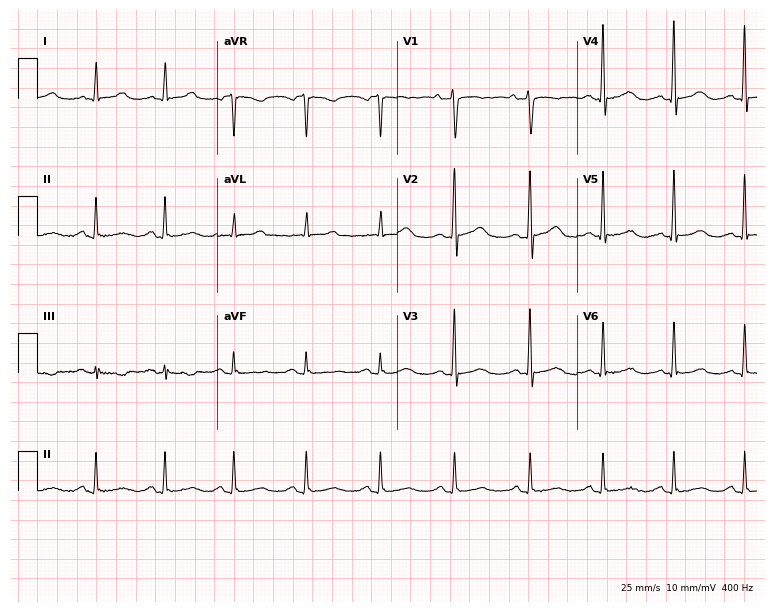
ECG — a male patient, 45 years old. Screened for six findings — first-degree AV block, right bundle branch block (RBBB), left bundle branch block (LBBB), sinus bradycardia, atrial fibrillation (AF), sinus tachycardia — none is recorded.